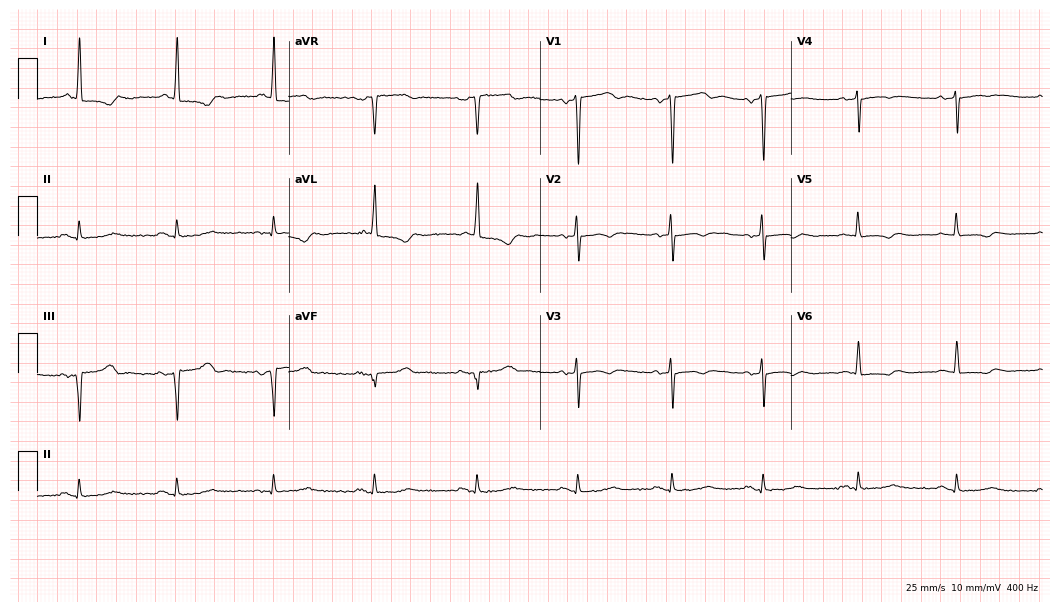
ECG — a female patient, 70 years old. Screened for six findings — first-degree AV block, right bundle branch block, left bundle branch block, sinus bradycardia, atrial fibrillation, sinus tachycardia — none is recorded.